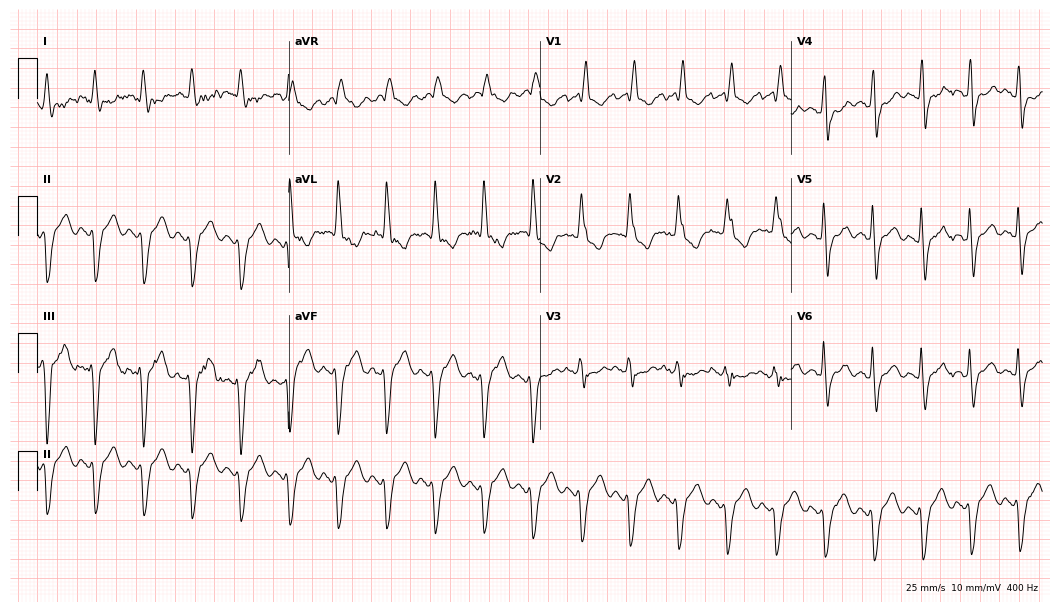
Standard 12-lead ECG recorded from a woman, 71 years old. The tracing shows right bundle branch block (RBBB).